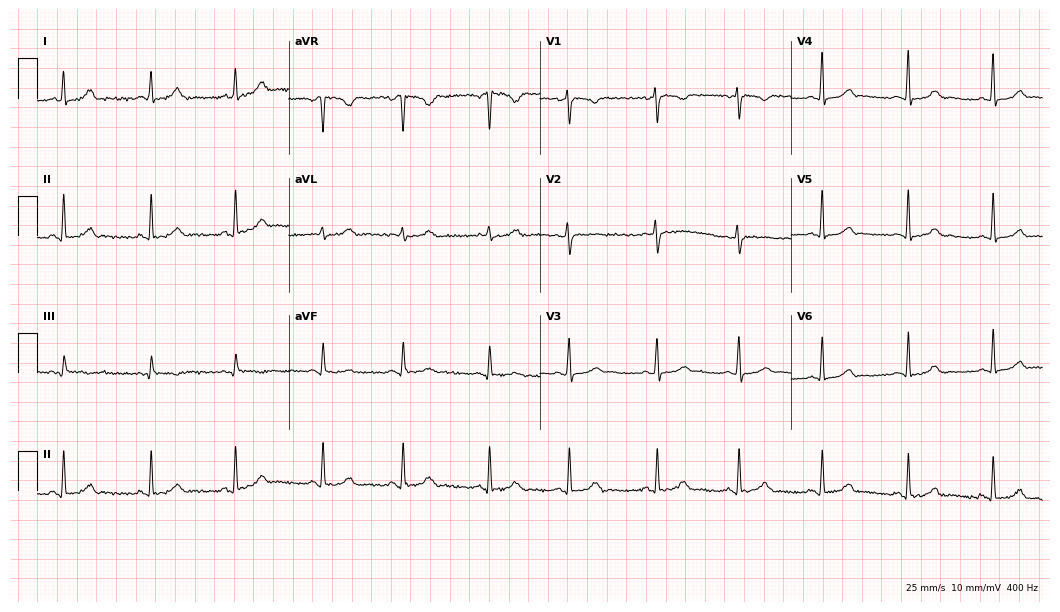
Standard 12-lead ECG recorded from a 17-year-old female. Read as a normal ECG.